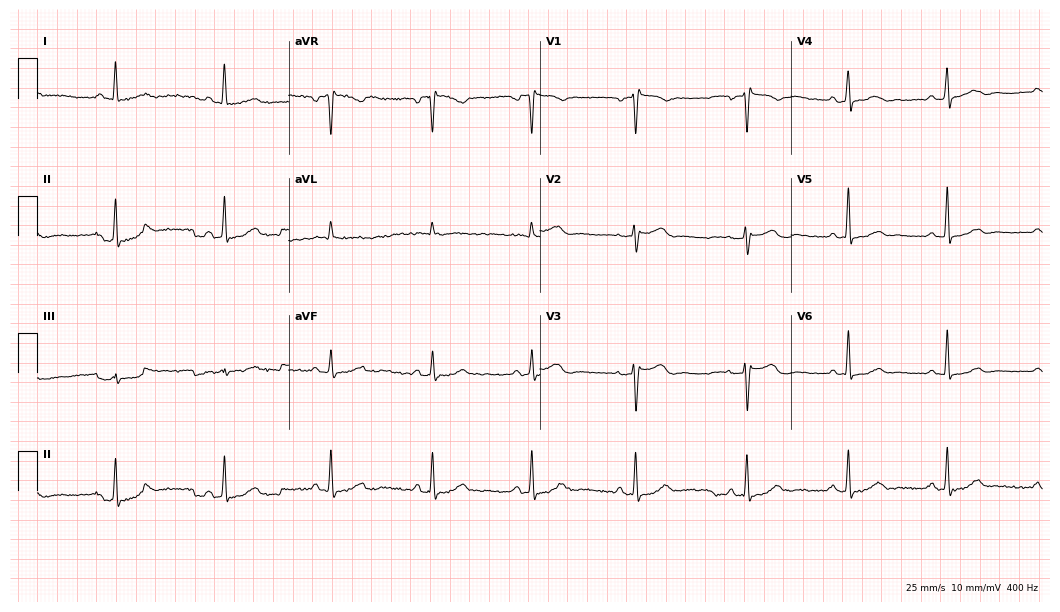
ECG (10.2-second recording at 400 Hz) — a 49-year-old female. Screened for six findings — first-degree AV block, right bundle branch block (RBBB), left bundle branch block (LBBB), sinus bradycardia, atrial fibrillation (AF), sinus tachycardia — none is recorded.